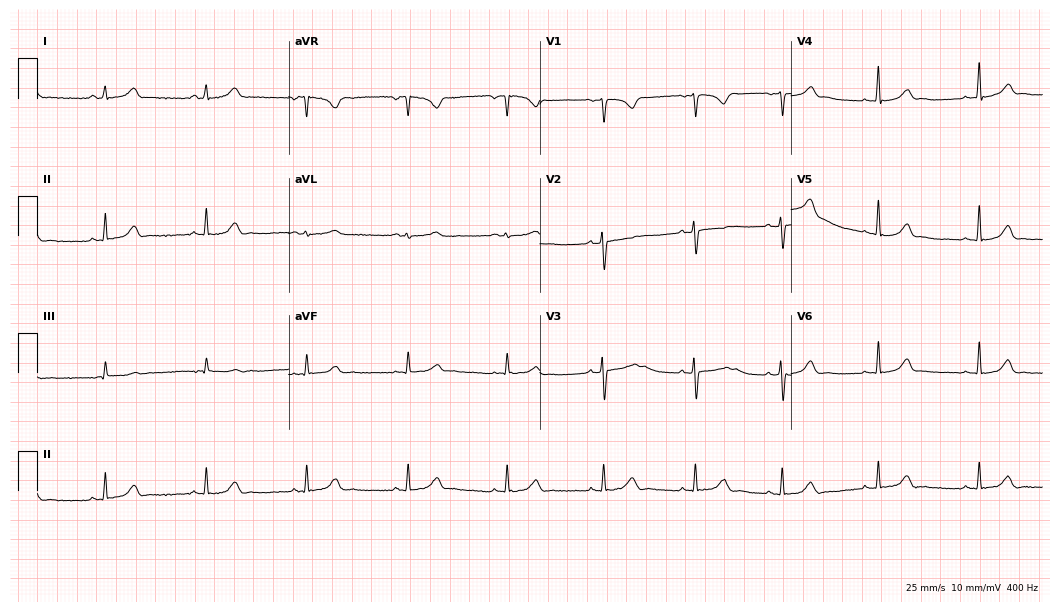
ECG — a 20-year-old female. Labelled as a normal ECG.